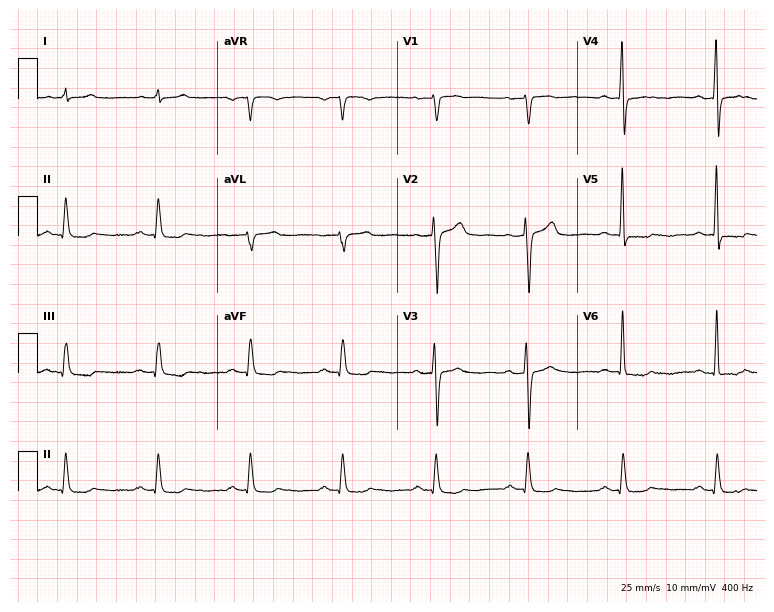
ECG — a 69-year-old male. Screened for six findings — first-degree AV block, right bundle branch block, left bundle branch block, sinus bradycardia, atrial fibrillation, sinus tachycardia — none is recorded. Only these six findings were labelled.